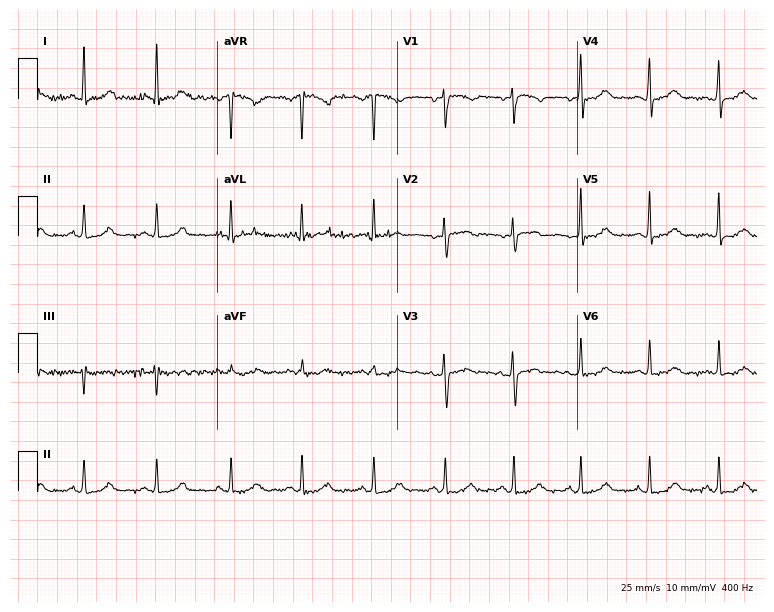
12-lead ECG from a 57-year-old female. Recorded interpretation: within normal limits.